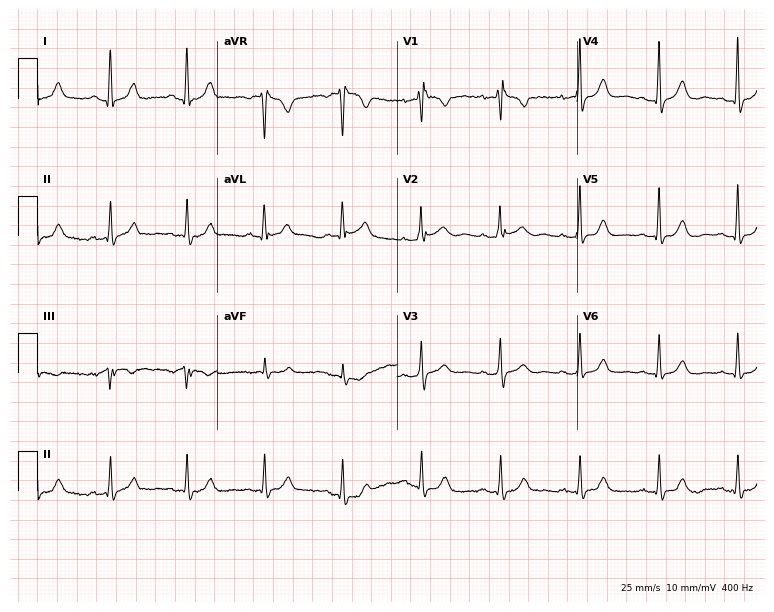
Resting 12-lead electrocardiogram. Patient: a 66-year-old woman. None of these six findings is recorded: first-degree AV block, right bundle branch block, left bundle branch block, sinus bradycardia, atrial fibrillation, sinus tachycardia.